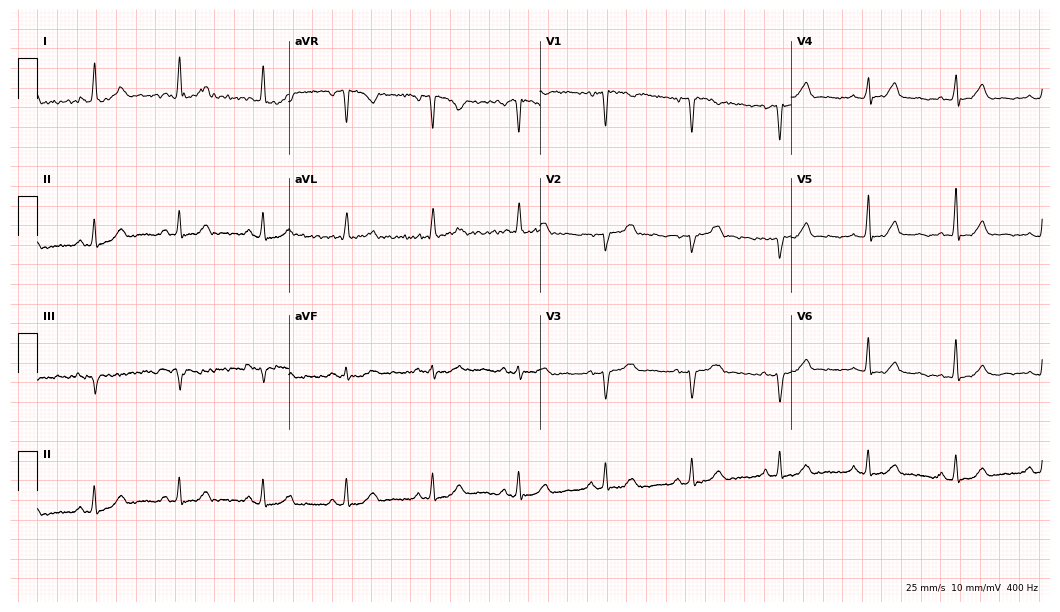
12-lead ECG (10.2-second recording at 400 Hz) from a female patient, 66 years old. Screened for six findings — first-degree AV block, right bundle branch block, left bundle branch block, sinus bradycardia, atrial fibrillation, sinus tachycardia — none is recorded. Other findings, if any, are not listed.